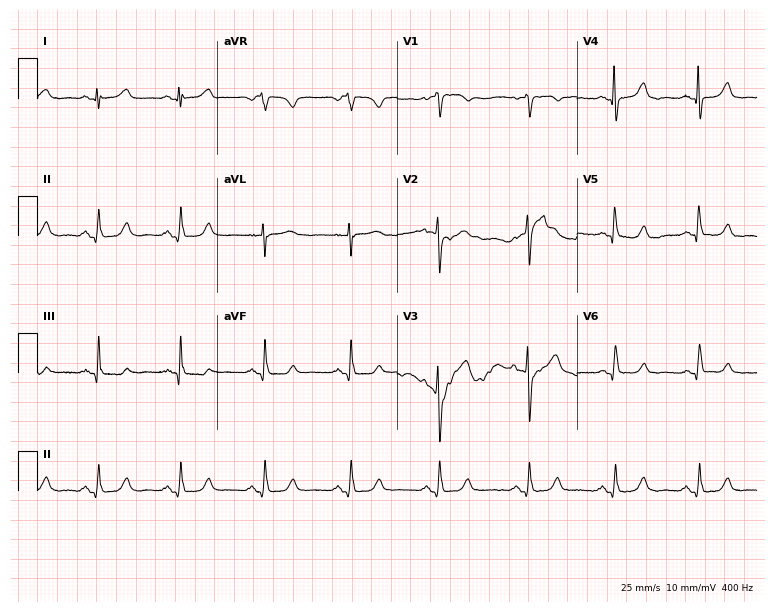
12-lead ECG from a 66-year-old female. Screened for six findings — first-degree AV block, right bundle branch block (RBBB), left bundle branch block (LBBB), sinus bradycardia, atrial fibrillation (AF), sinus tachycardia — none is recorded. Other findings, if any, are not listed.